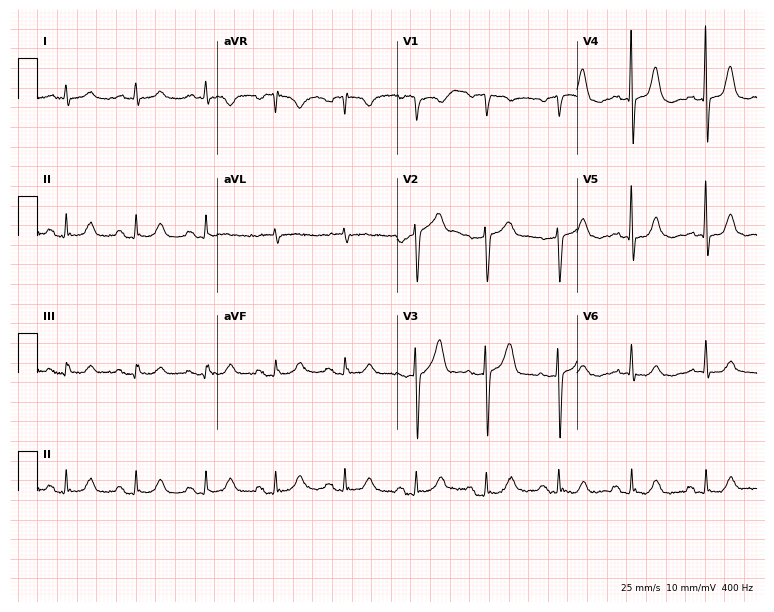
Resting 12-lead electrocardiogram. Patient: a male, 72 years old. None of these six findings is recorded: first-degree AV block, right bundle branch block, left bundle branch block, sinus bradycardia, atrial fibrillation, sinus tachycardia.